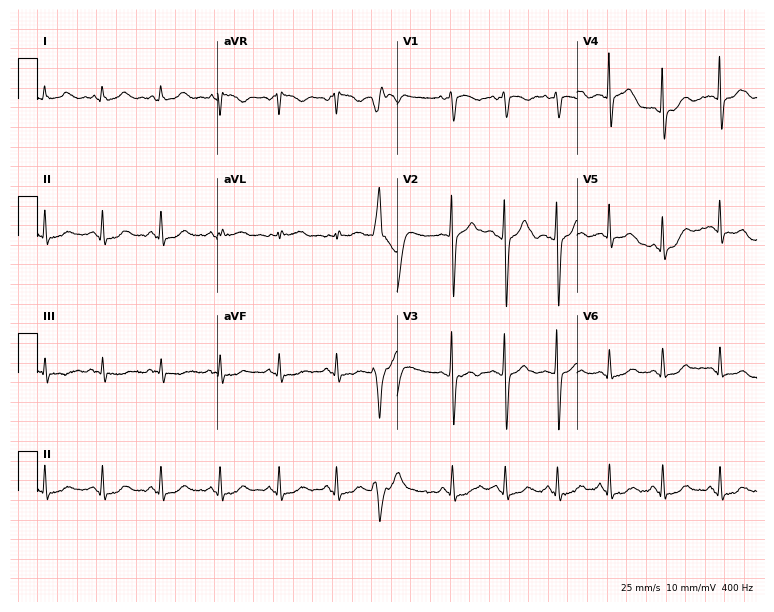
Electrocardiogram (7.3-second recording at 400 Hz), a woman, 33 years old. Of the six screened findings (first-degree AV block, right bundle branch block (RBBB), left bundle branch block (LBBB), sinus bradycardia, atrial fibrillation (AF), sinus tachycardia), none is recorded.